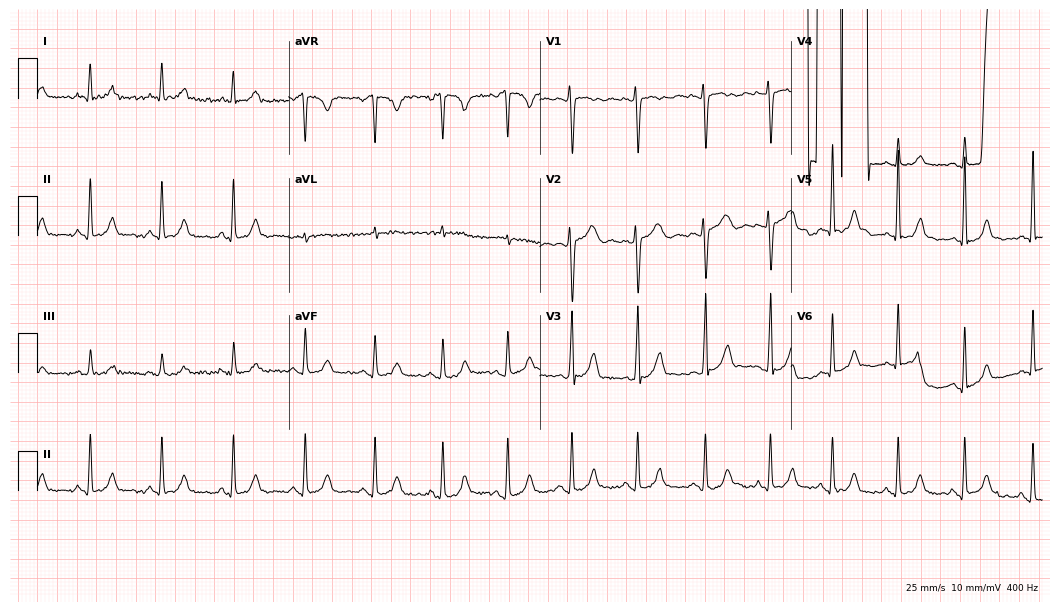
ECG (10.2-second recording at 400 Hz) — a 45-year-old woman. Screened for six findings — first-degree AV block, right bundle branch block (RBBB), left bundle branch block (LBBB), sinus bradycardia, atrial fibrillation (AF), sinus tachycardia — none is recorded.